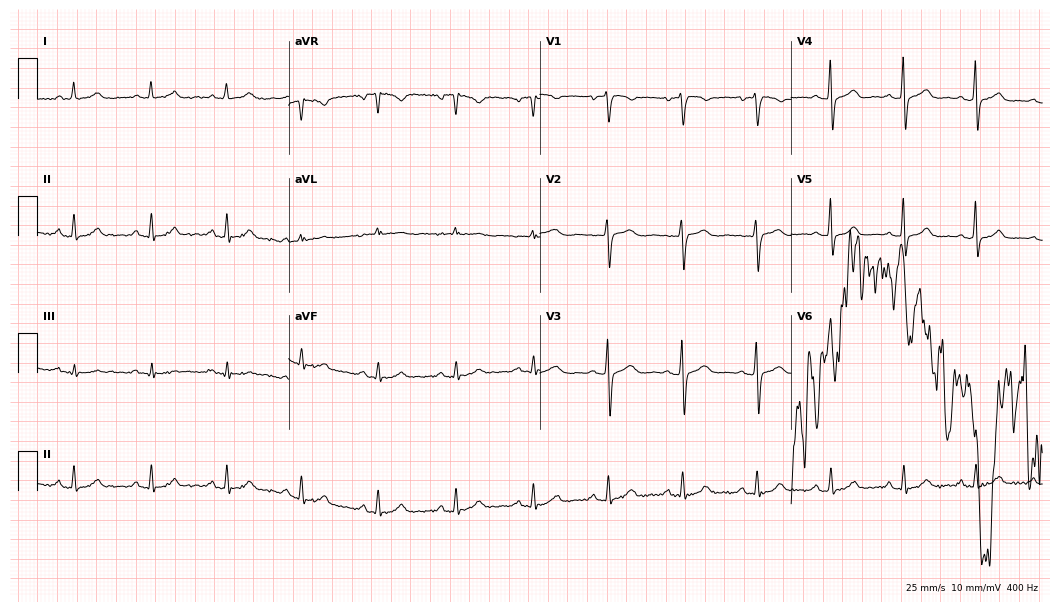
Electrocardiogram (10.2-second recording at 400 Hz), a 42-year-old female patient. Of the six screened findings (first-degree AV block, right bundle branch block, left bundle branch block, sinus bradycardia, atrial fibrillation, sinus tachycardia), none is recorded. Other findings, if any, are not listed.